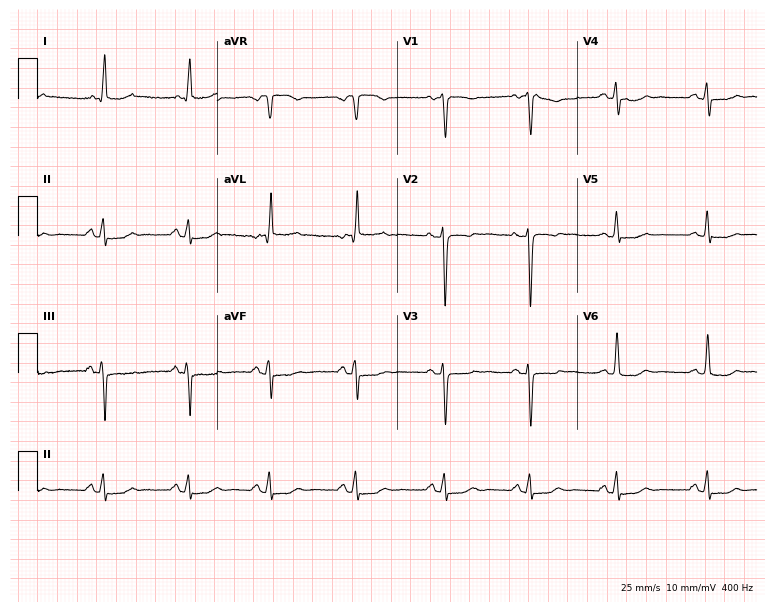
12-lead ECG from a 48-year-old woman. Screened for six findings — first-degree AV block, right bundle branch block, left bundle branch block, sinus bradycardia, atrial fibrillation, sinus tachycardia — none is recorded.